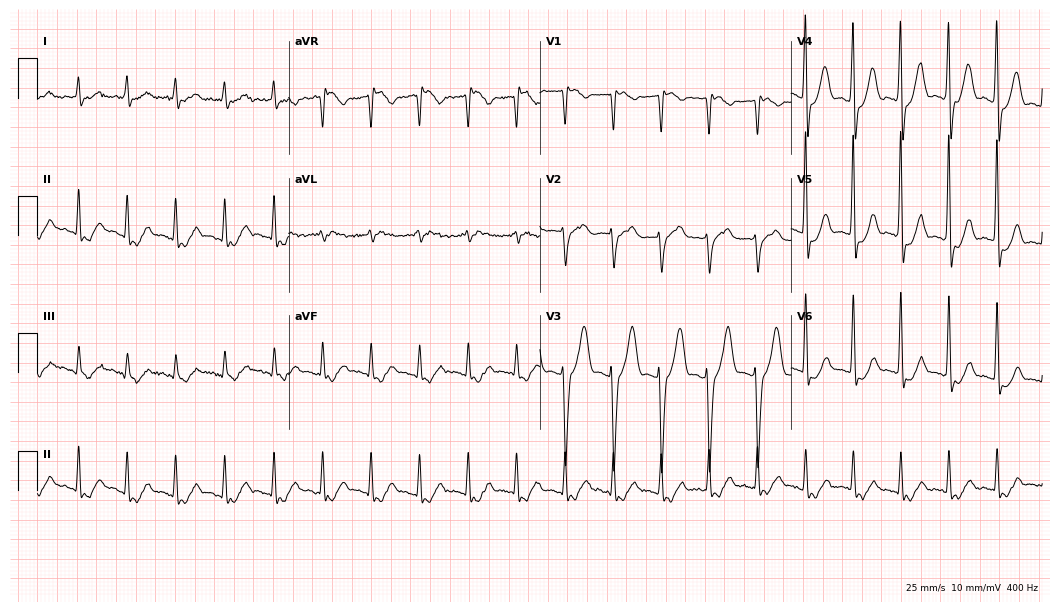
12-lead ECG from a man, 84 years old. Findings include sinus tachycardia (a sinus rate of 100 beats per minute or more).